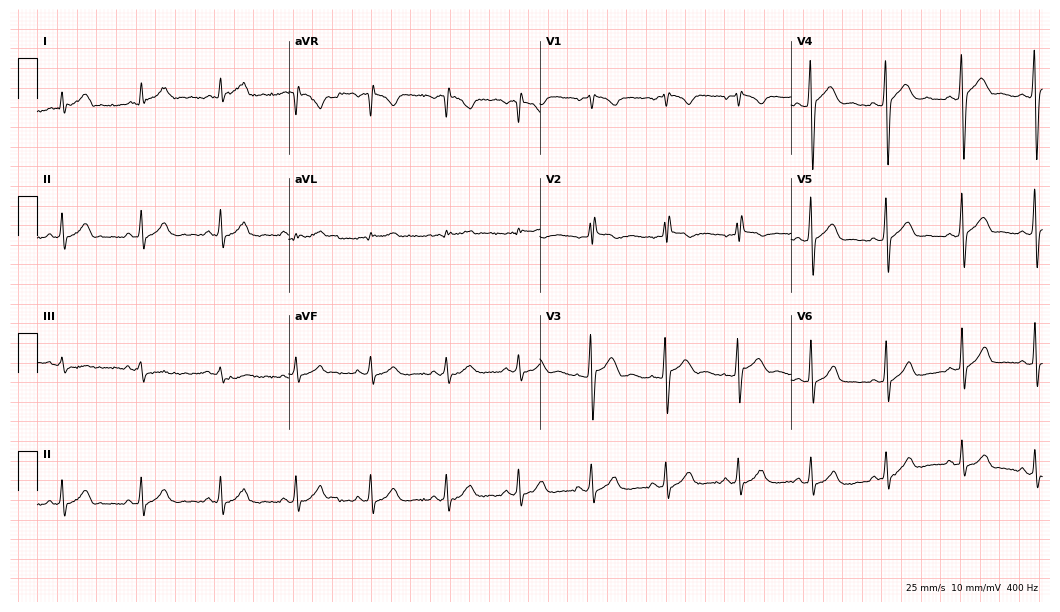
12-lead ECG from a male, 17 years old. No first-degree AV block, right bundle branch block, left bundle branch block, sinus bradycardia, atrial fibrillation or sinus tachycardia recorded for this tracing. Only these six findings were labelled.